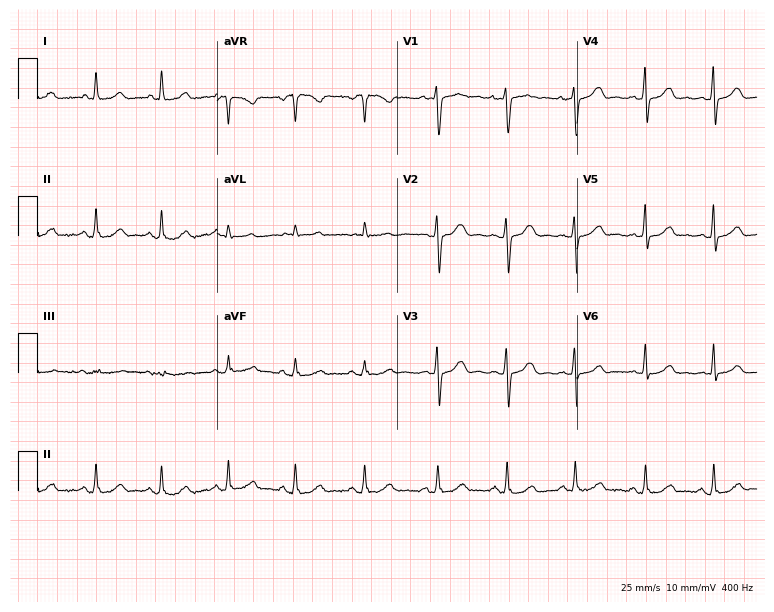
12-lead ECG from a 35-year-old woman (7.3-second recording at 400 Hz). Recorded interpretation: within normal limits.